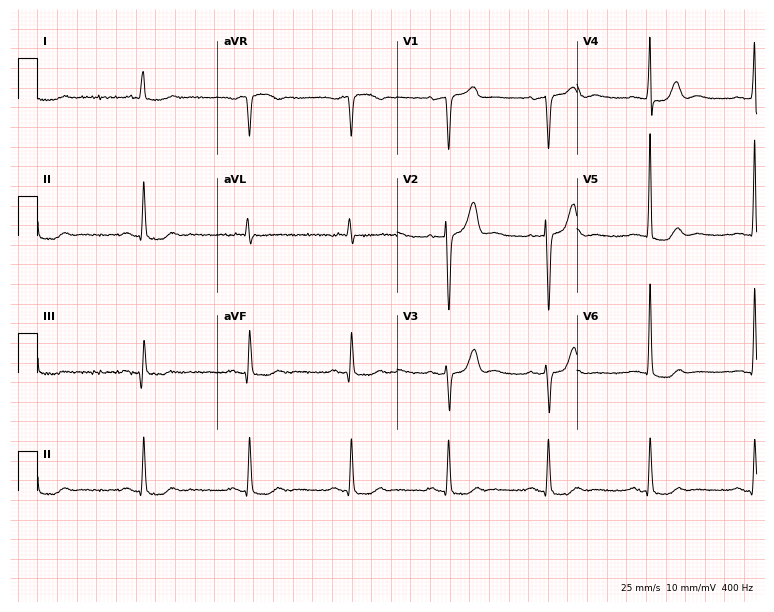
Electrocardiogram (7.3-second recording at 400 Hz), an 82-year-old woman. Of the six screened findings (first-degree AV block, right bundle branch block, left bundle branch block, sinus bradycardia, atrial fibrillation, sinus tachycardia), none is recorded. Other findings, if any, are not listed.